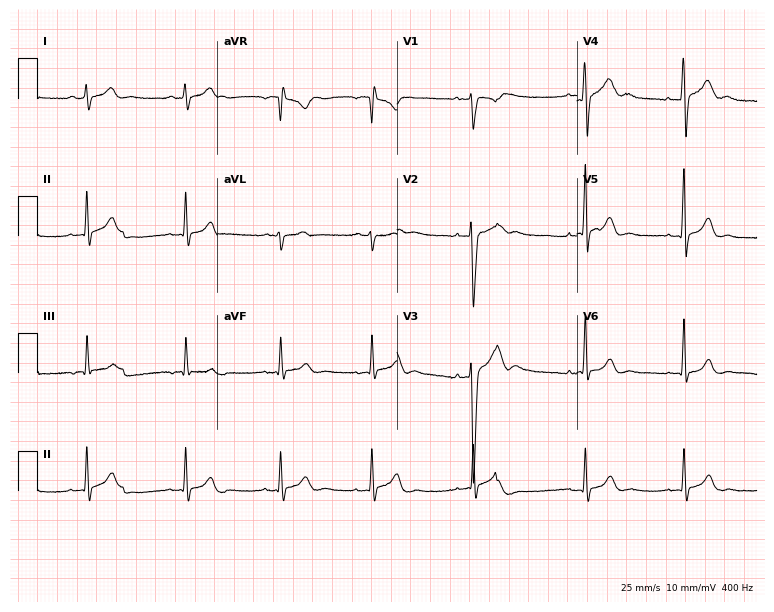
12-lead ECG from a 24-year-old male. No first-degree AV block, right bundle branch block (RBBB), left bundle branch block (LBBB), sinus bradycardia, atrial fibrillation (AF) or sinus tachycardia recorded for this tracing. Other findings, if any, are not listed.